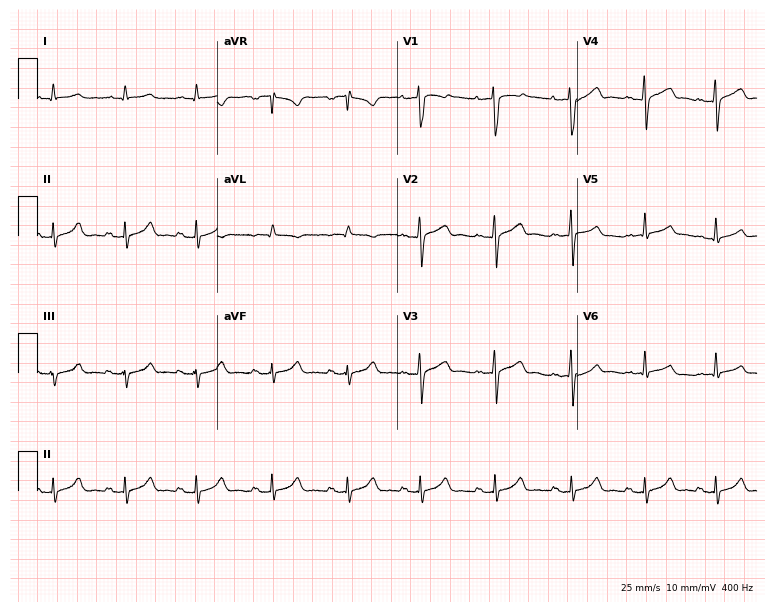
ECG (7.3-second recording at 400 Hz) — a 37-year-old male patient. Labelled as a normal ECG.